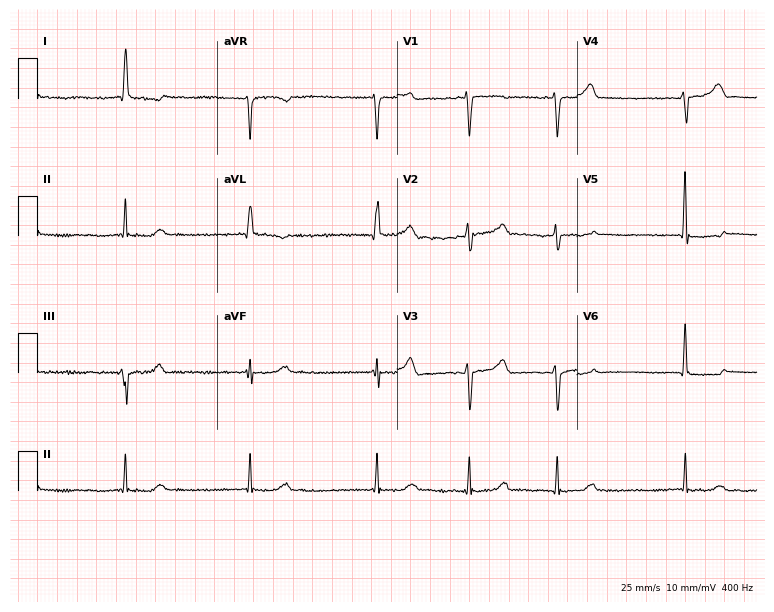
Standard 12-lead ECG recorded from a 67-year-old female patient. The tracing shows atrial fibrillation.